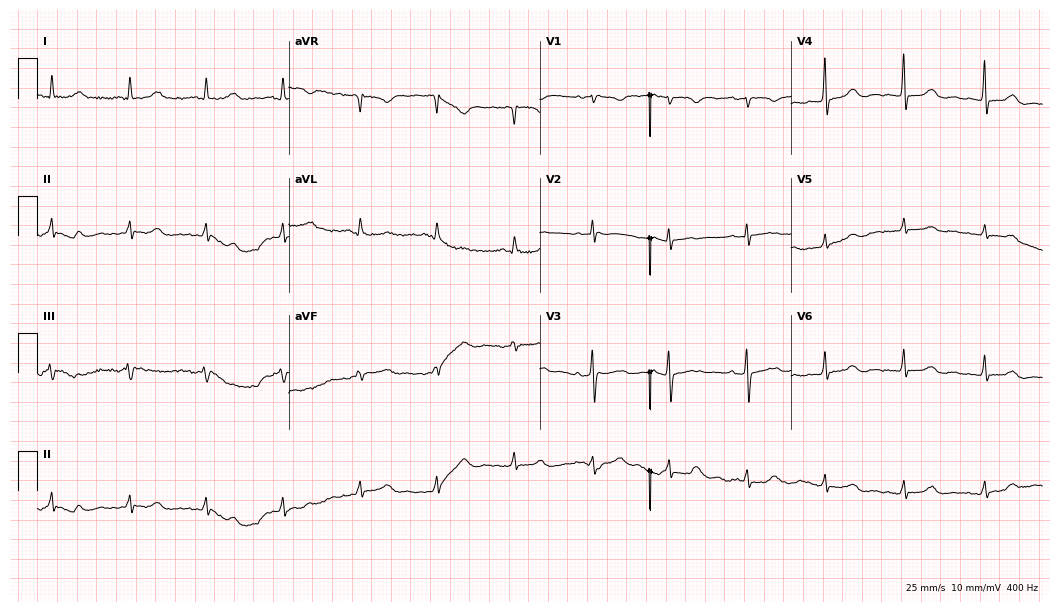
Resting 12-lead electrocardiogram (10.2-second recording at 400 Hz). Patient: a female, 72 years old. None of these six findings is recorded: first-degree AV block, right bundle branch block, left bundle branch block, sinus bradycardia, atrial fibrillation, sinus tachycardia.